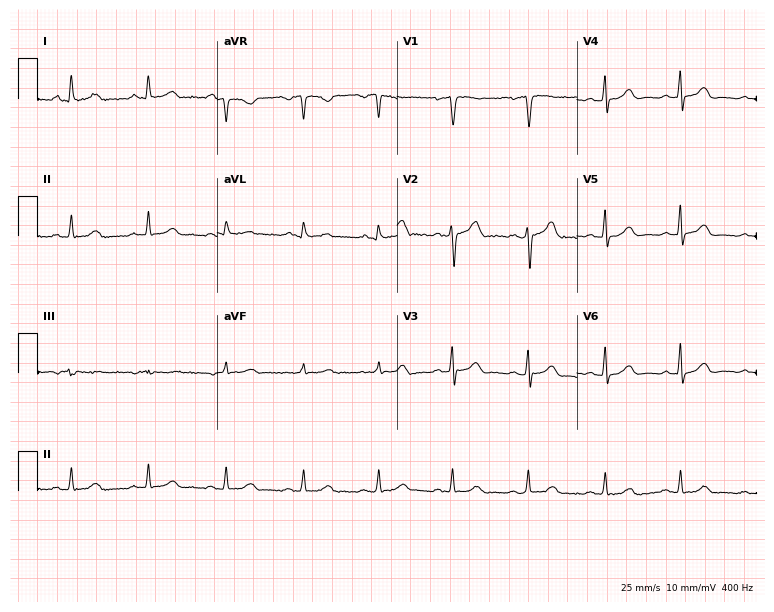
Electrocardiogram (7.3-second recording at 400 Hz), a 40-year-old male. Of the six screened findings (first-degree AV block, right bundle branch block (RBBB), left bundle branch block (LBBB), sinus bradycardia, atrial fibrillation (AF), sinus tachycardia), none is recorded.